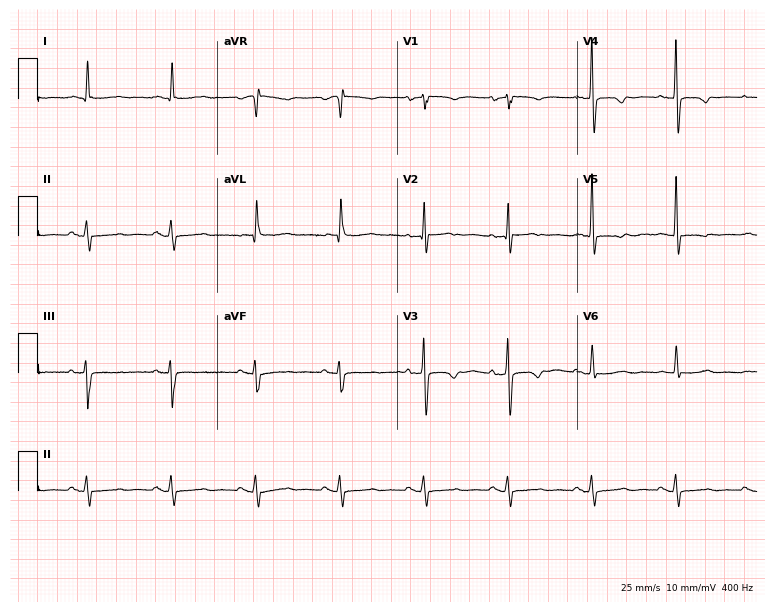
12-lead ECG (7.3-second recording at 400 Hz) from a female patient, 81 years old. Screened for six findings — first-degree AV block, right bundle branch block (RBBB), left bundle branch block (LBBB), sinus bradycardia, atrial fibrillation (AF), sinus tachycardia — none is recorded. Other findings, if any, are not listed.